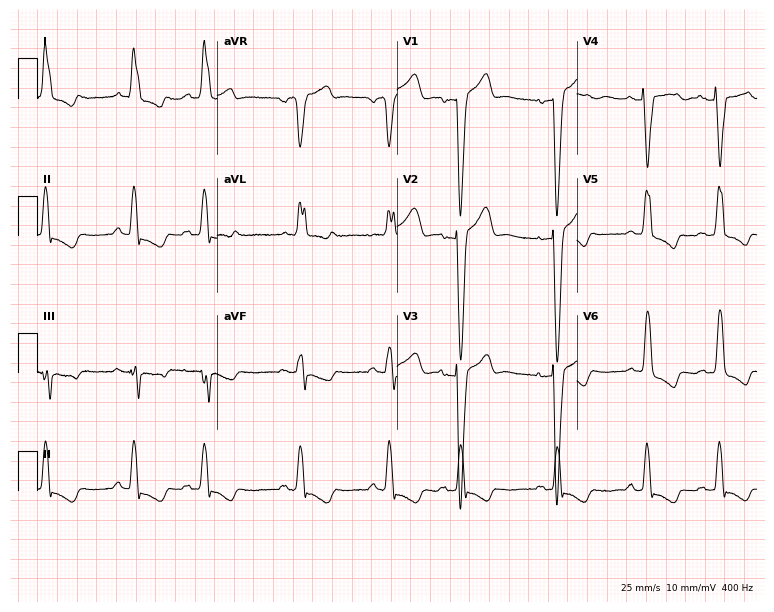
12-lead ECG from a female, 75 years old (7.3-second recording at 400 Hz). Shows left bundle branch block (LBBB).